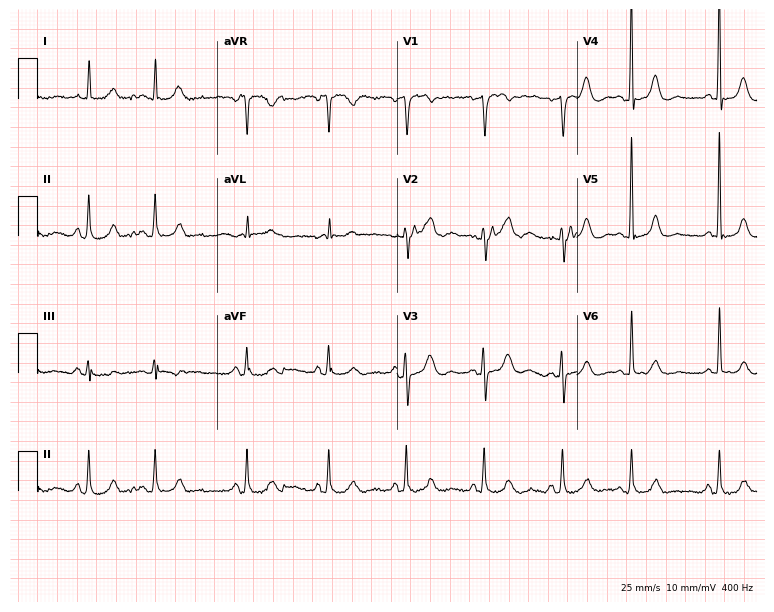
ECG — a 72-year-old female. Labelled as a normal ECG.